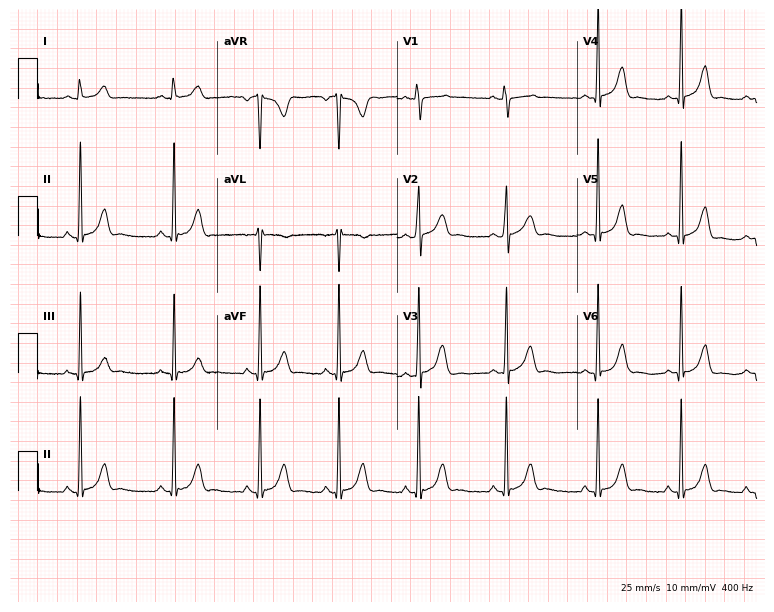
ECG — a female patient, 21 years old. Labelled as a normal ECG.